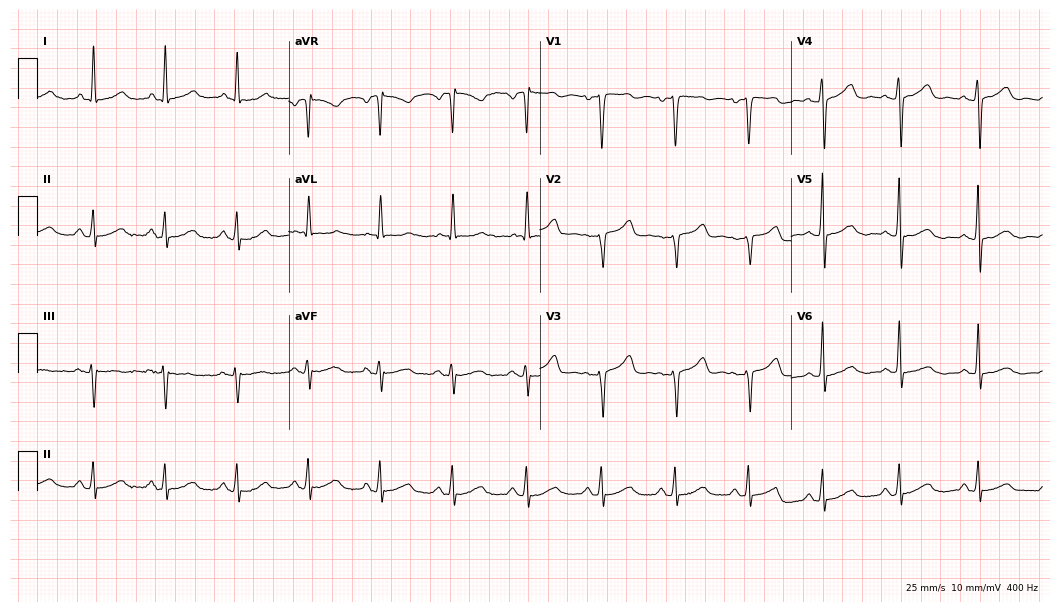
12-lead ECG from a woman, 62 years old. Screened for six findings — first-degree AV block, right bundle branch block, left bundle branch block, sinus bradycardia, atrial fibrillation, sinus tachycardia — none is recorded. Other findings, if any, are not listed.